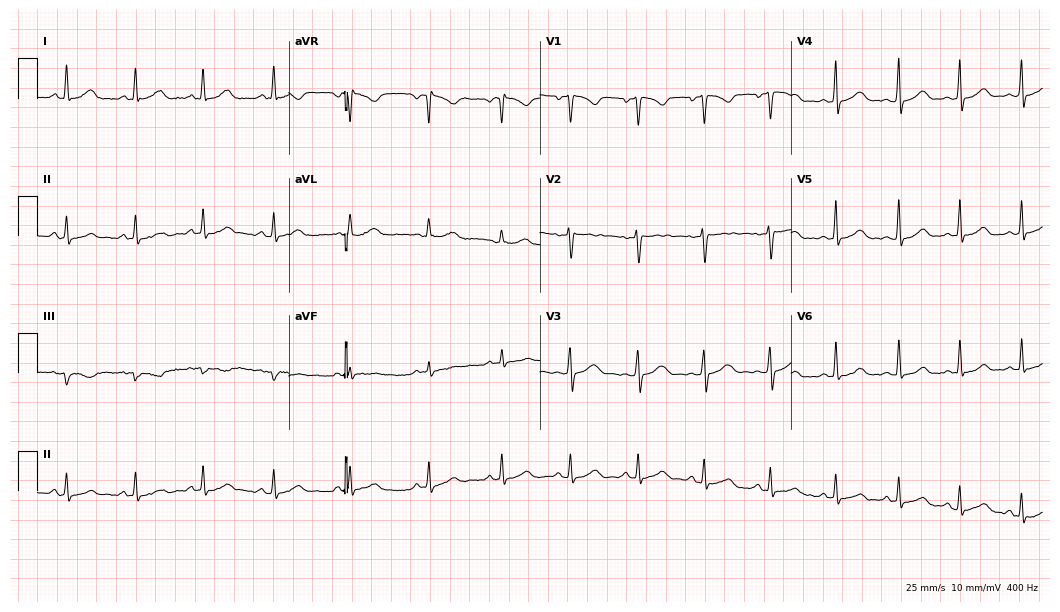
Electrocardiogram, a female, 22 years old. Of the six screened findings (first-degree AV block, right bundle branch block, left bundle branch block, sinus bradycardia, atrial fibrillation, sinus tachycardia), none is recorded.